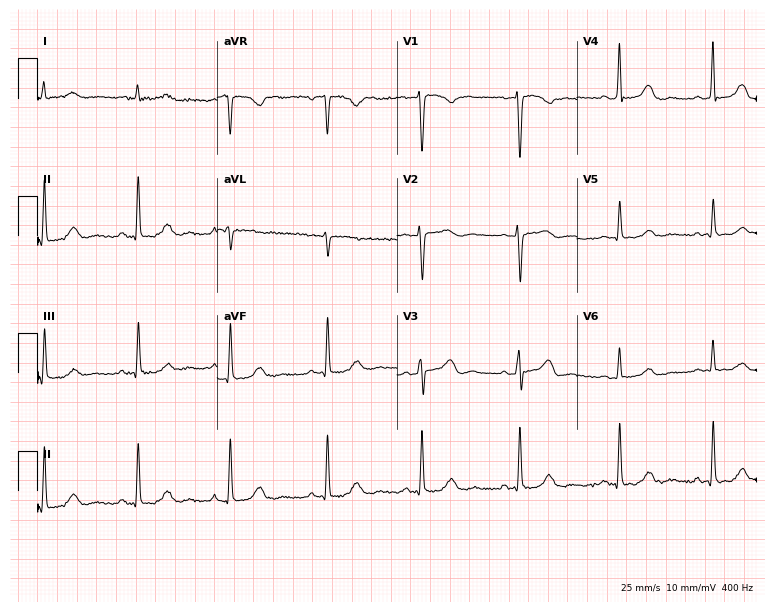
12-lead ECG from a female, 40 years old. No first-degree AV block, right bundle branch block, left bundle branch block, sinus bradycardia, atrial fibrillation or sinus tachycardia recorded for this tracing.